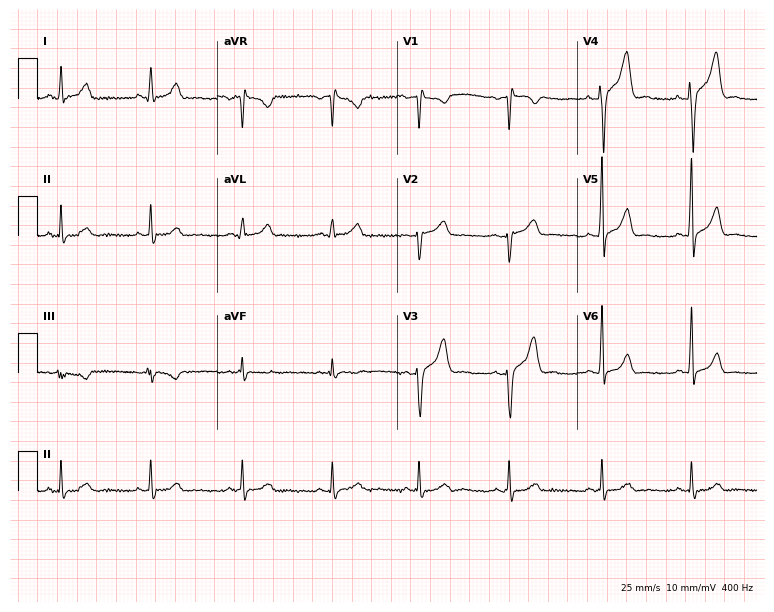
12-lead ECG from a male, 28 years old. No first-degree AV block, right bundle branch block (RBBB), left bundle branch block (LBBB), sinus bradycardia, atrial fibrillation (AF) or sinus tachycardia recorded for this tracing.